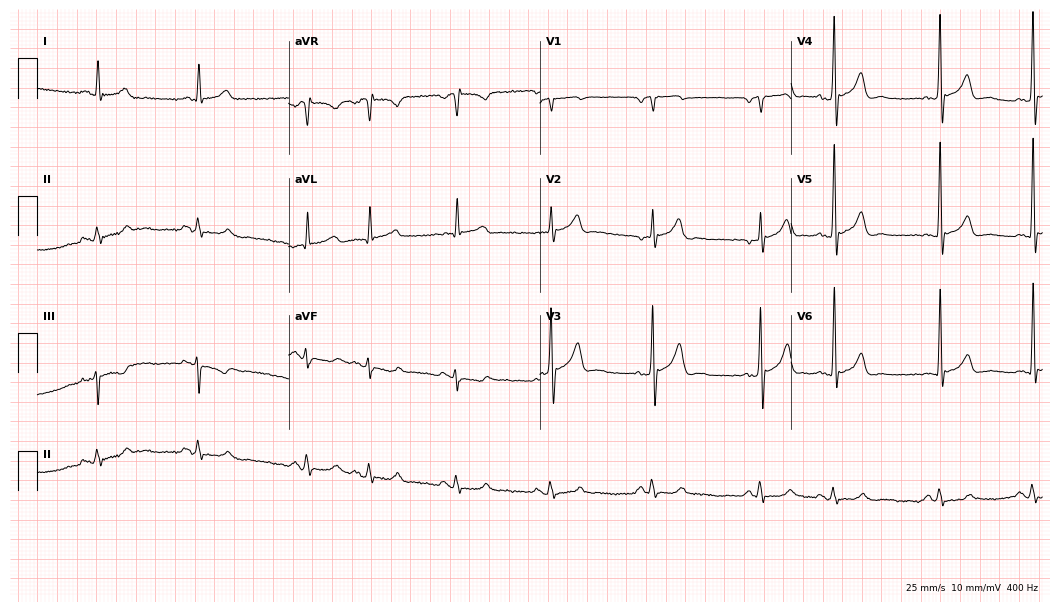
Standard 12-lead ECG recorded from a man, 72 years old (10.2-second recording at 400 Hz). None of these six findings is recorded: first-degree AV block, right bundle branch block, left bundle branch block, sinus bradycardia, atrial fibrillation, sinus tachycardia. Other findings, if any, are not listed.